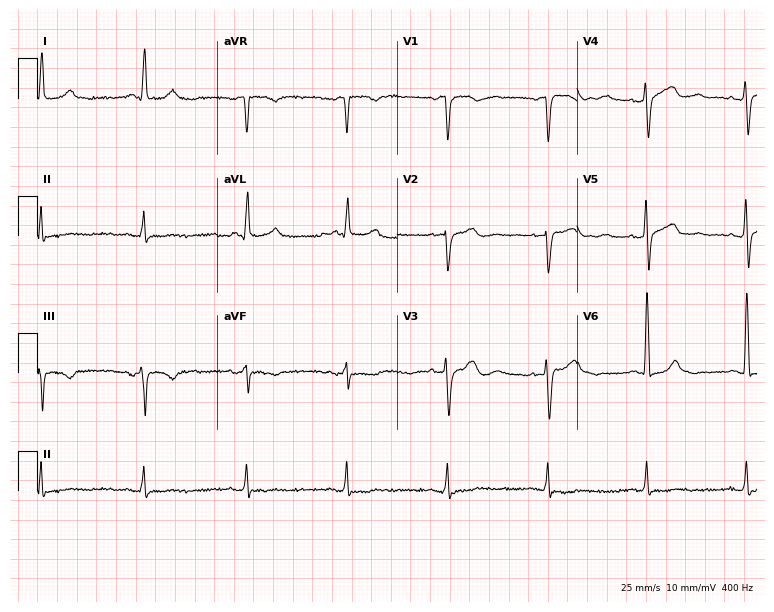
12-lead ECG (7.3-second recording at 400 Hz) from a man, 70 years old. Screened for six findings — first-degree AV block, right bundle branch block, left bundle branch block, sinus bradycardia, atrial fibrillation, sinus tachycardia — none is recorded. Findings outside these six are not listed.